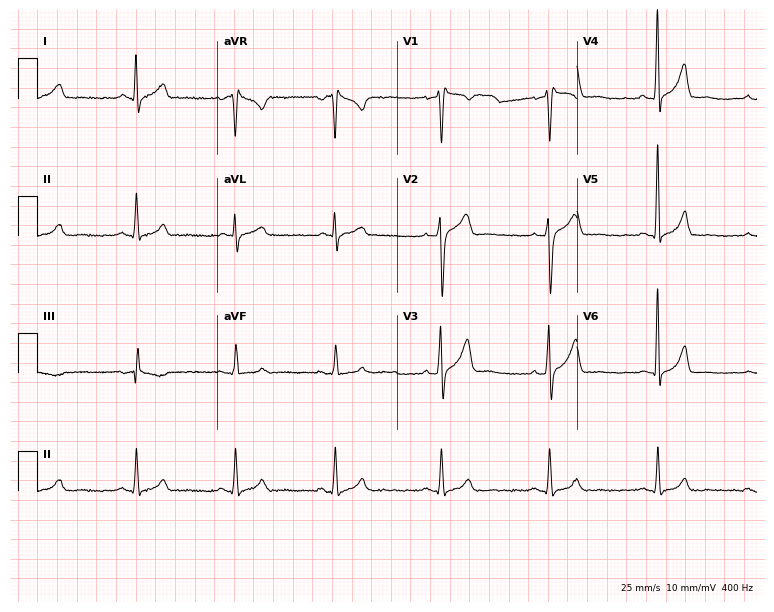
12-lead ECG from a 38-year-old man. Screened for six findings — first-degree AV block, right bundle branch block, left bundle branch block, sinus bradycardia, atrial fibrillation, sinus tachycardia — none is recorded.